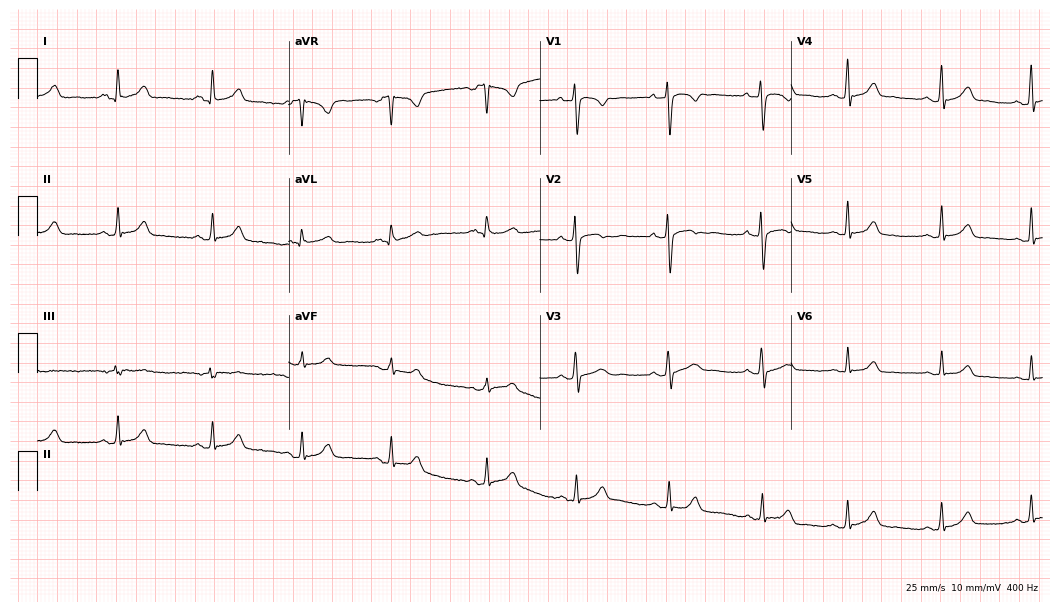
ECG — a woman, 33 years old. Screened for six findings — first-degree AV block, right bundle branch block (RBBB), left bundle branch block (LBBB), sinus bradycardia, atrial fibrillation (AF), sinus tachycardia — none is recorded. Findings outside these six are not listed.